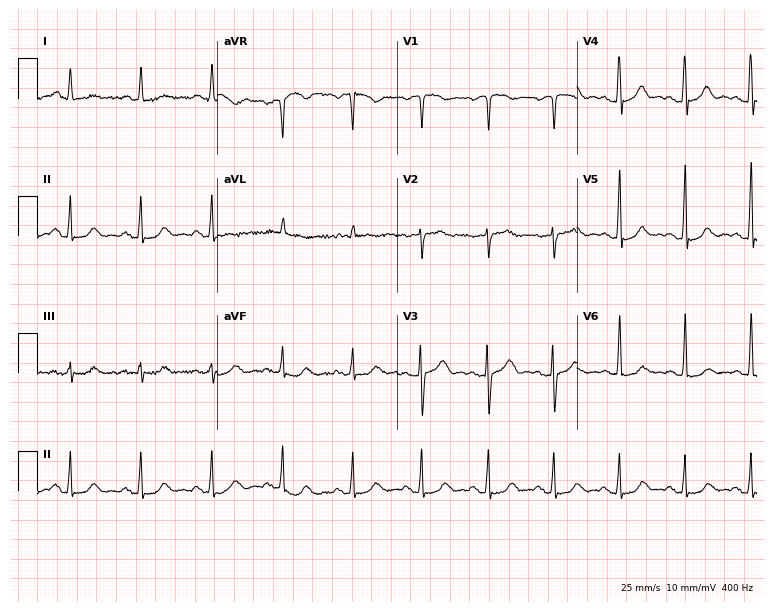
ECG — a woman, 54 years old. Screened for six findings — first-degree AV block, right bundle branch block (RBBB), left bundle branch block (LBBB), sinus bradycardia, atrial fibrillation (AF), sinus tachycardia — none is recorded.